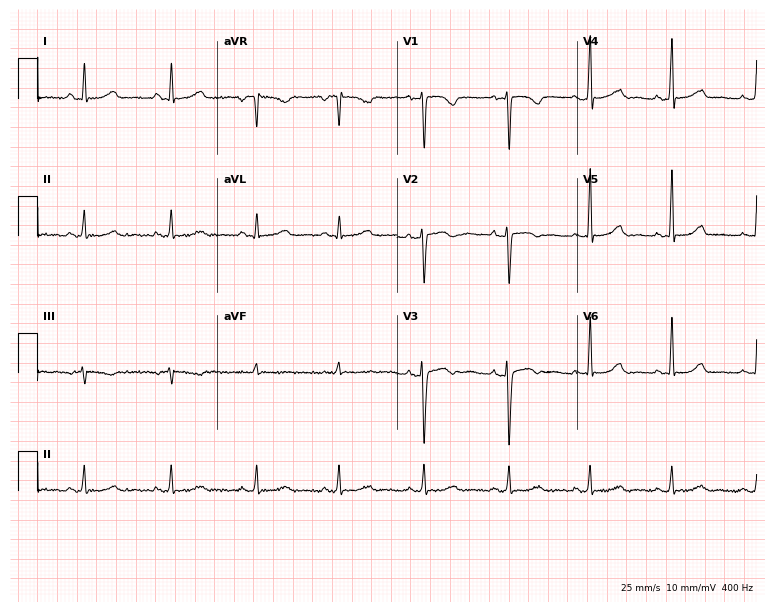
12-lead ECG from a female, 26 years old. No first-degree AV block, right bundle branch block, left bundle branch block, sinus bradycardia, atrial fibrillation or sinus tachycardia recorded for this tracing. Findings outside these six are not listed.